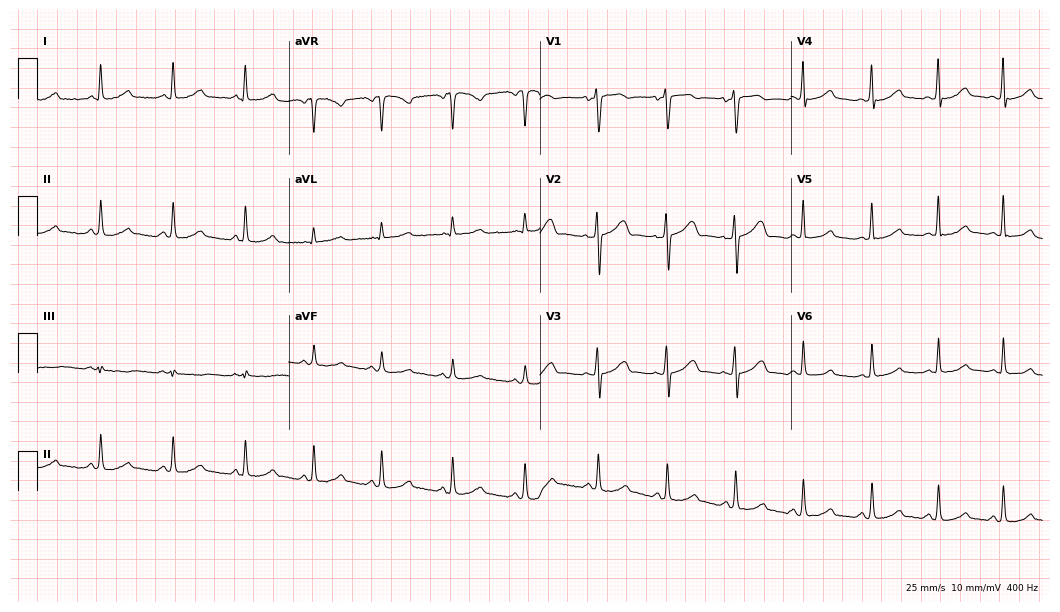
Electrocardiogram, a 35-year-old female patient. Overall reading on record: normal ECG.